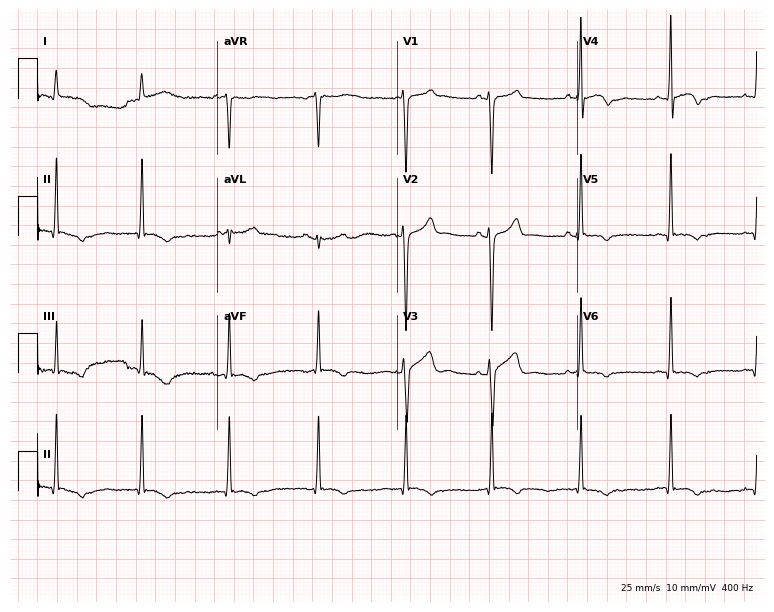
Electrocardiogram (7.3-second recording at 400 Hz), a 29-year-old male patient. Of the six screened findings (first-degree AV block, right bundle branch block, left bundle branch block, sinus bradycardia, atrial fibrillation, sinus tachycardia), none is recorded. Findings outside these six are not listed.